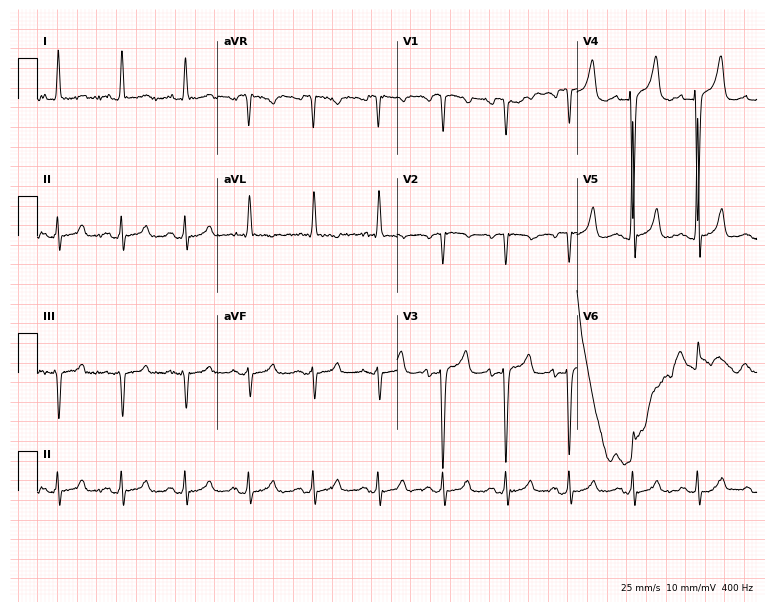
Standard 12-lead ECG recorded from a 61-year-old male (7.3-second recording at 400 Hz). Read as a normal ECG.